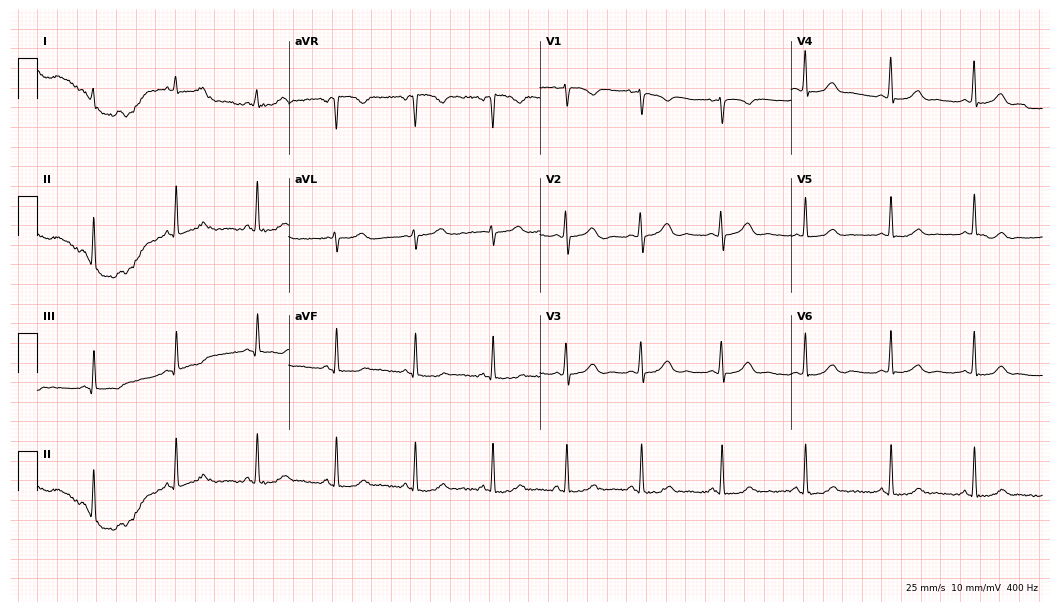
Electrocardiogram, a woman, 43 years old. Overall reading on record: normal ECG.